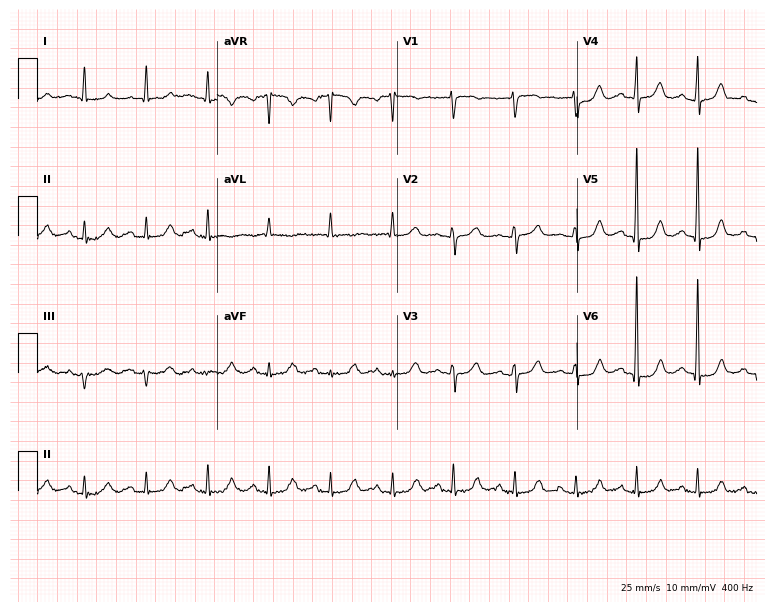
ECG — a woman, 85 years old. Labelled as a normal ECG.